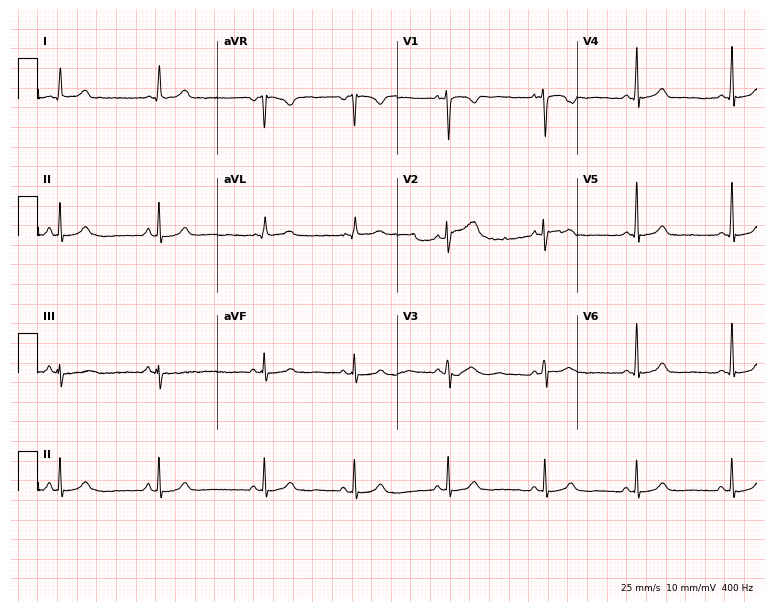
ECG — a female, 41 years old. Screened for six findings — first-degree AV block, right bundle branch block (RBBB), left bundle branch block (LBBB), sinus bradycardia, atrial fibrillation (AF), sinus tachycardia — none is recorded. Other findings, if any, are not listed.